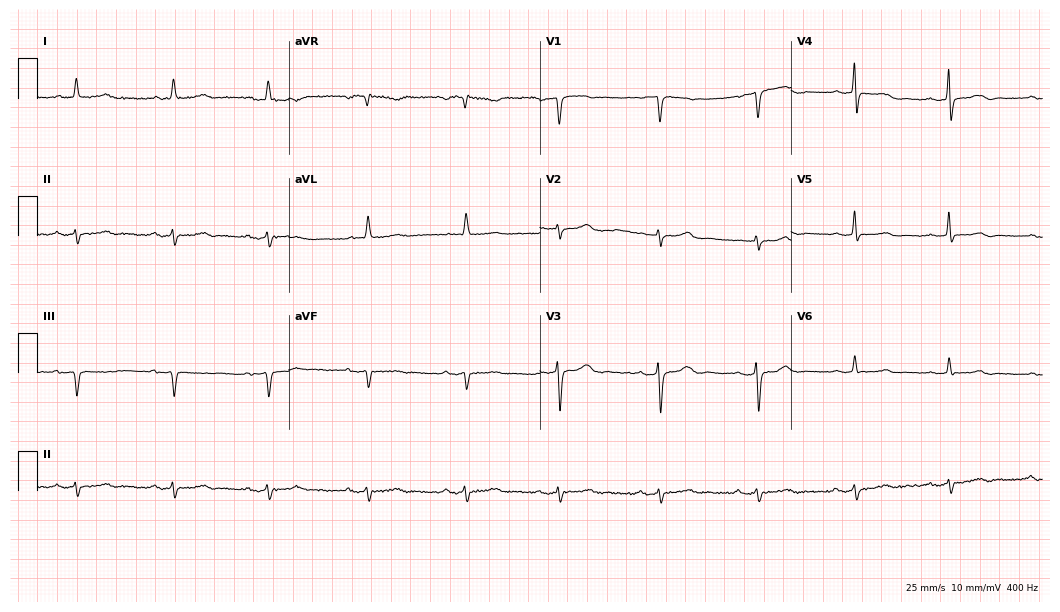
Resting 12-lead electrocardiogram. Patient: a male, 85 years old. None of these six findings is recorded: first-degree AV block, right bundle branch block, left bundle branch block, sinus bradycardia, atrial fibrillation, sinus tachycardia. Findings outside these six are not listed.